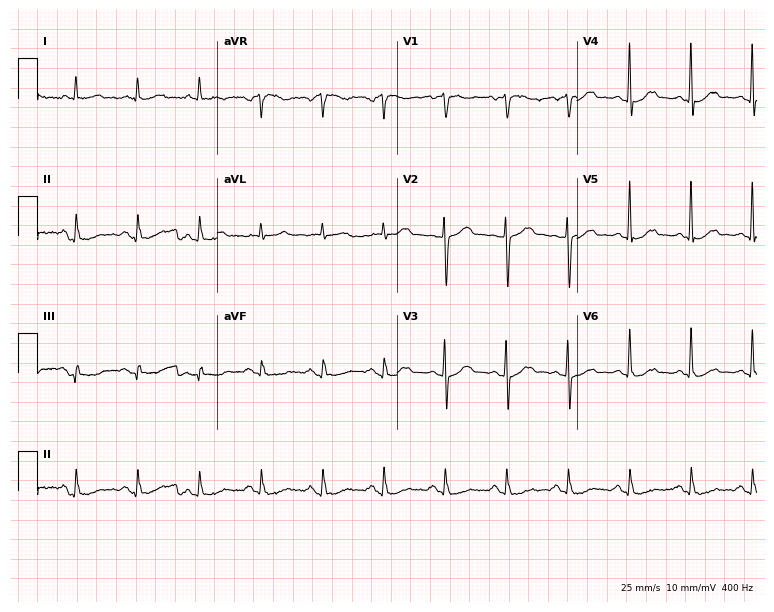
12-lead ECG (7.3-second recording at 400 Hz) from a male, 73 years old. Labelled as a normal ECG.